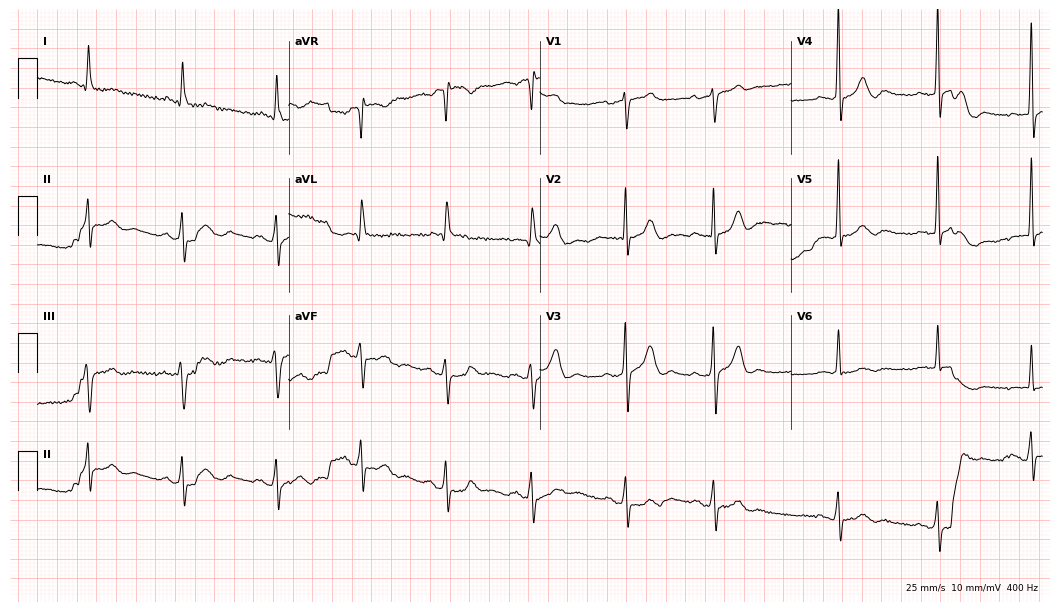
12-lead ECG from a 79-year-old male. No first-degree AV block, right bundle branch block, left bundle branch block, sinus bradycardia, atrial fibrillation or sinus tachycardia recorded for this tracing.